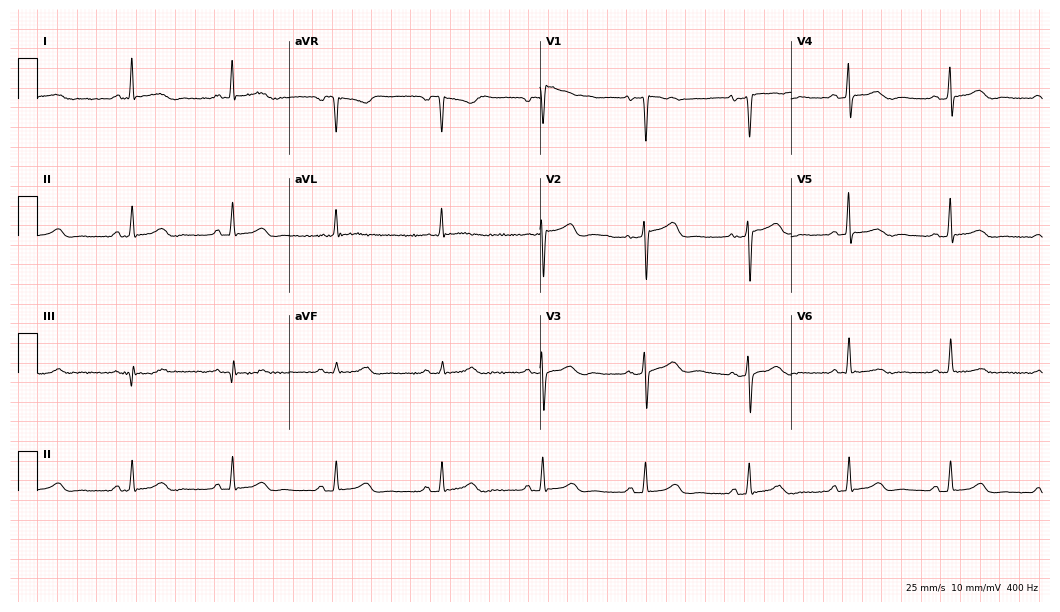
Electrocardiogram, a female, 60 years old. Of the six screened findings (first-degree AV block, right bundle branch block, left bundle branch block, sinus bradycardia, atrial fibrillation, sinus tachycardia), none is recorded. Findings outside these six are not listed.